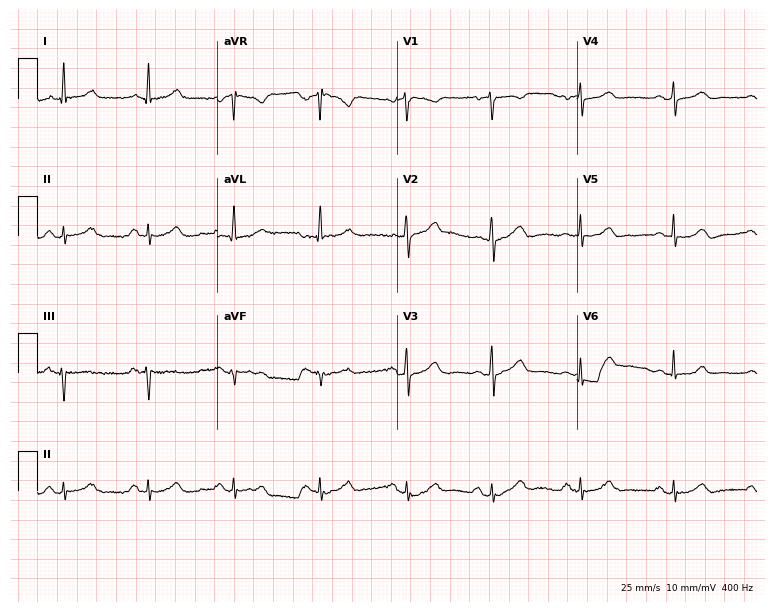
Electrocardiogram, a female patient, 56 years old. Overall reading on record: normal ECG.